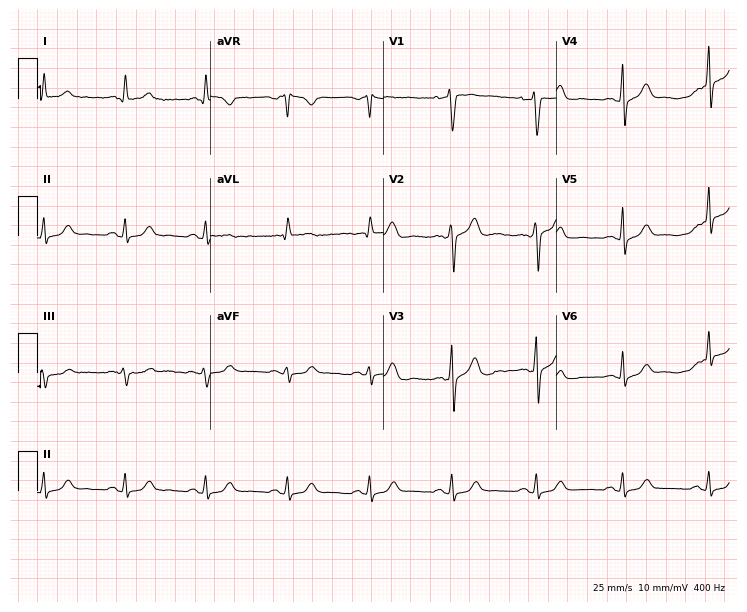
ECG — a 47-year-old man. Labelled as a normal ECG.